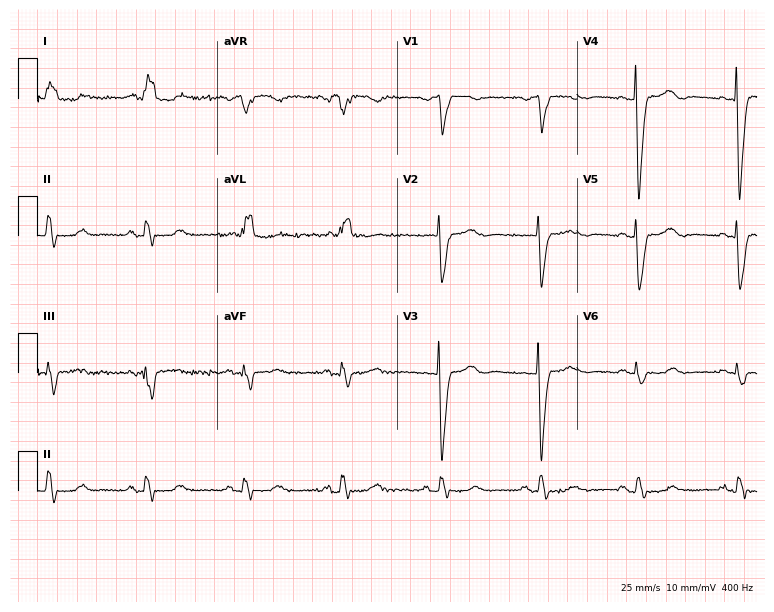
Electrocardiogram (7.3-second recording at 400 Hz), a 69-year-old woman. Interpretation includes left bundle branch block.